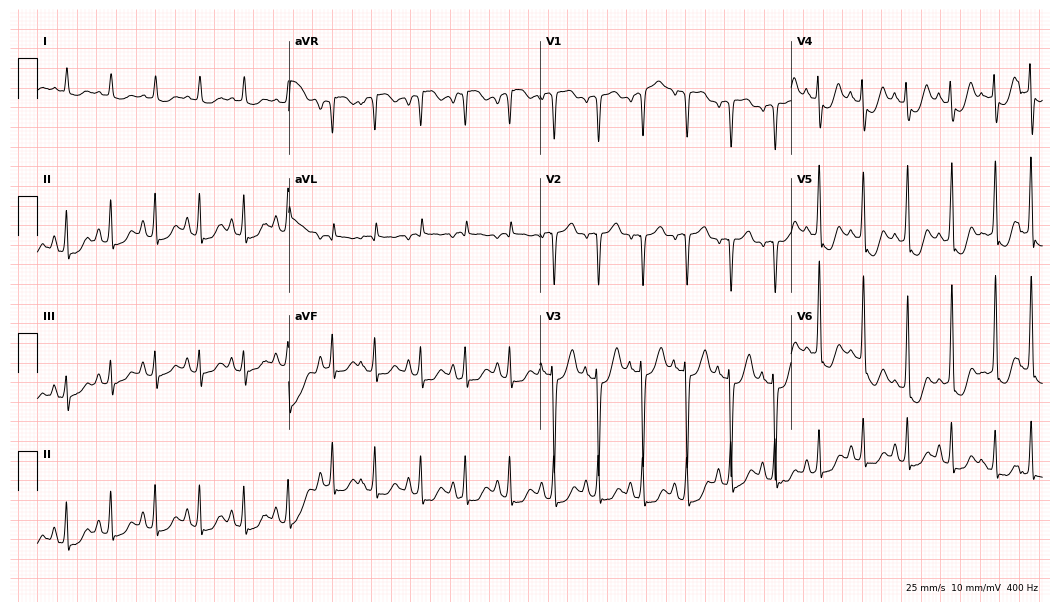
Electrocardiogram (10.2-second recording at 400 Hz), a 76-year-old woman. Interpretation includes sinus tachycardia (a sinus rate of 100 beats per minute or more).